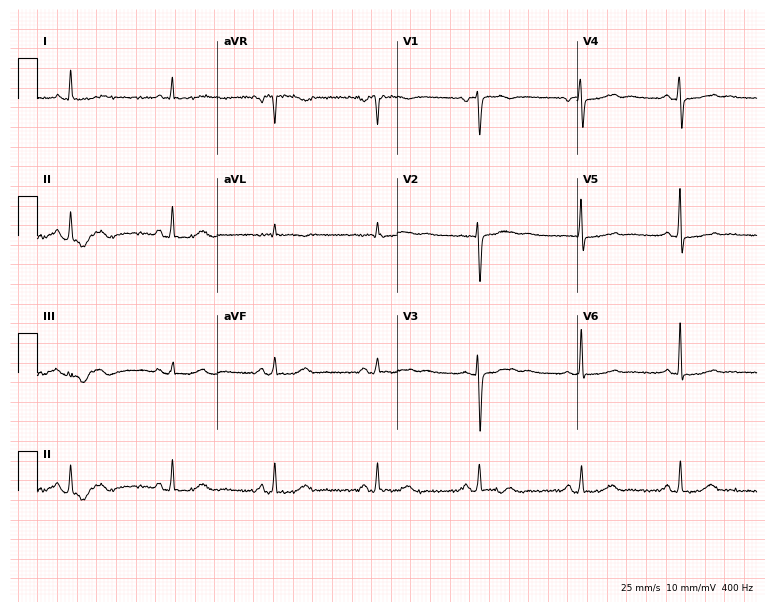
Electrocardiogram, a 60-year-old female. Of the six screened findings (first-degree AV block, right bundle branch block (RBBB), left bundle branch block (LBBB), sinus bradycardia, atrial fibrillation (AF), sinus tachycardia), none is recorded. Only these six findings were labelled.